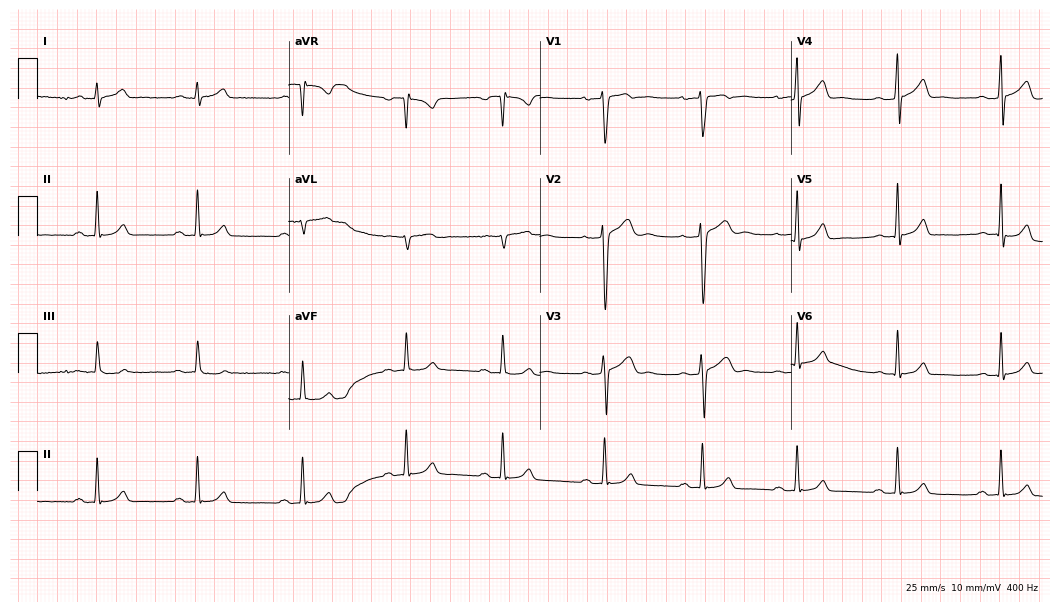
Electrocardiogram, a male patient, 19 years old. Overall reading on record: normal ECG.